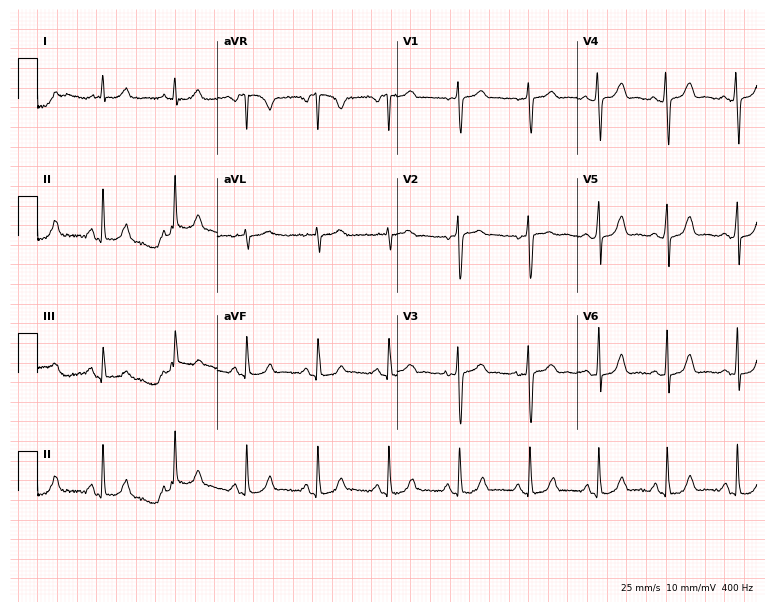
ECG (7.3-second recording at 400 Hz) — a 37-year-old female patient. Screened for six findings — first-degree AV block, right bundle branch block (RBBB), left bundle branch block (LBBB), sinus bradycardia, atrial fibrillation (AF), sinus tachycardia — none is recorded. Only these six findings were labelled.